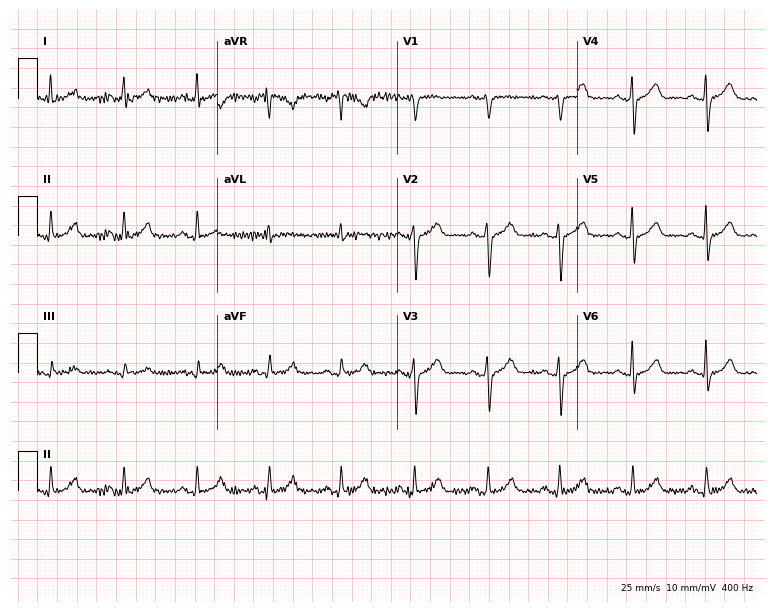
12-lead ECG from a male, 53 years old. Labelled as a normal ECG.